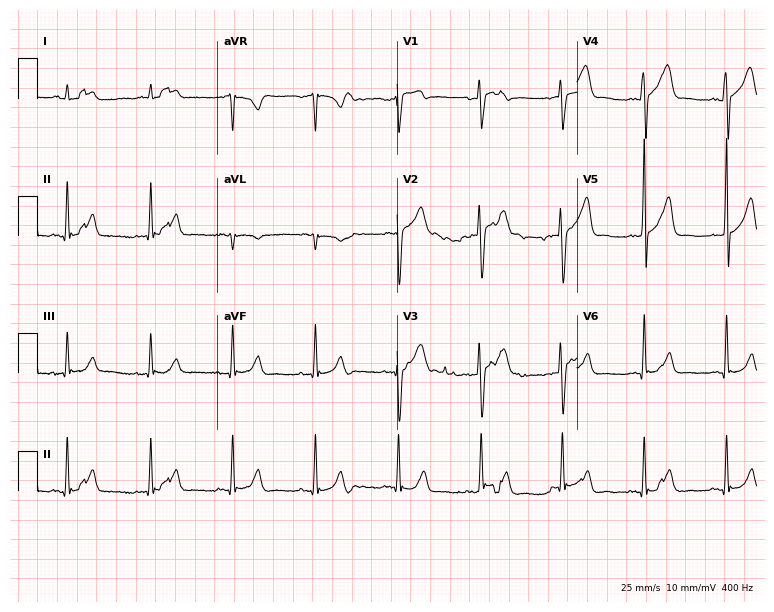
Resting 12-lead electrocardiogram. Patient: a 44-year-old man. None of these six findings is recorded: first-degree AV block, right bundle branch block, left bundle branch block, sinus bradycardia, atrial fibrillation, sinus tachycardia. Only these six findings were labelled.